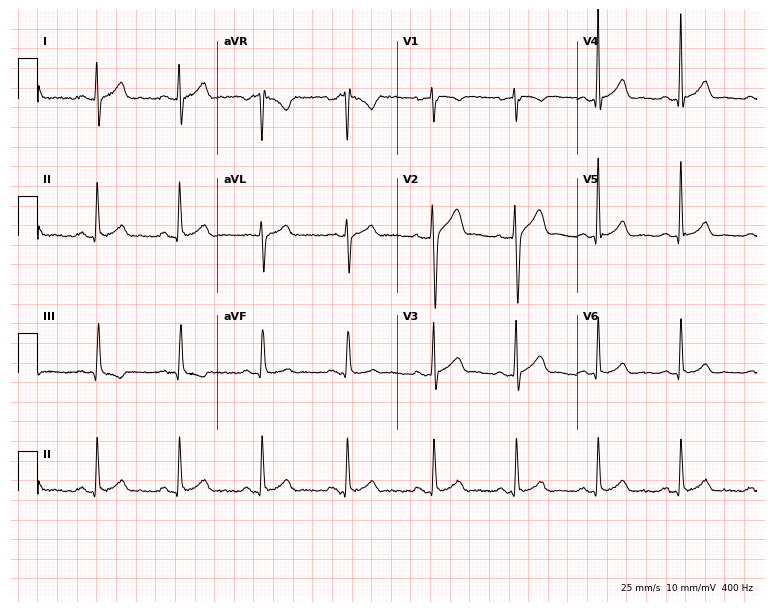
Standard 12-lead ECG recorded from a 30-year-old man. Read as a normal ECG.